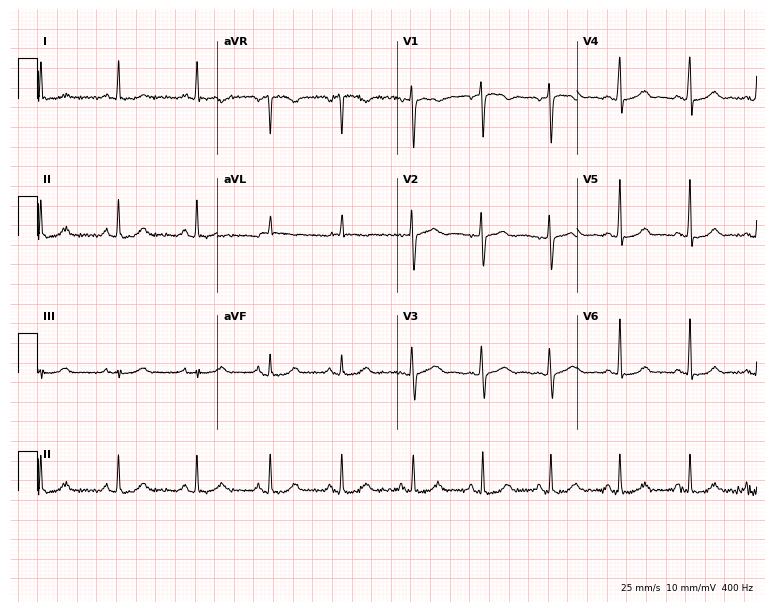
Standard 12-lead ECG recorded from a female, 53 years old. Read as a normal ECG.